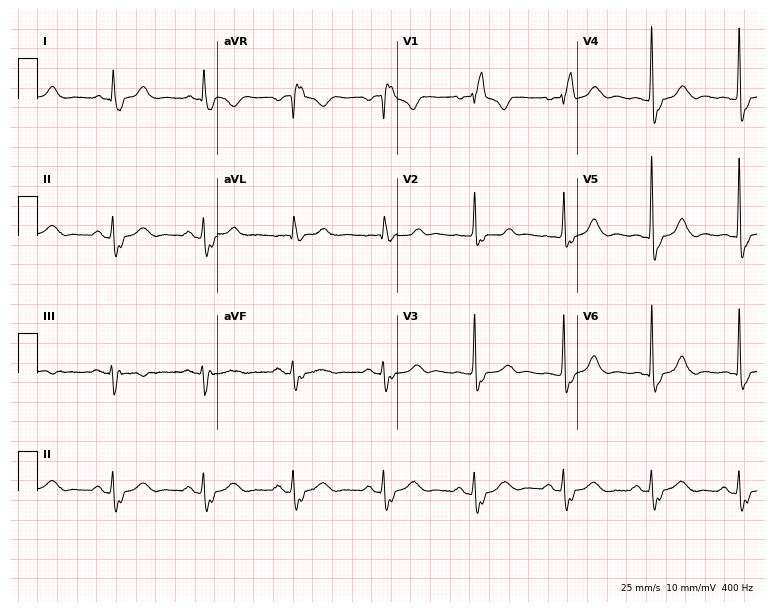
12-lead ECG from a female, 68 years old. Findings include right bundle branch block.